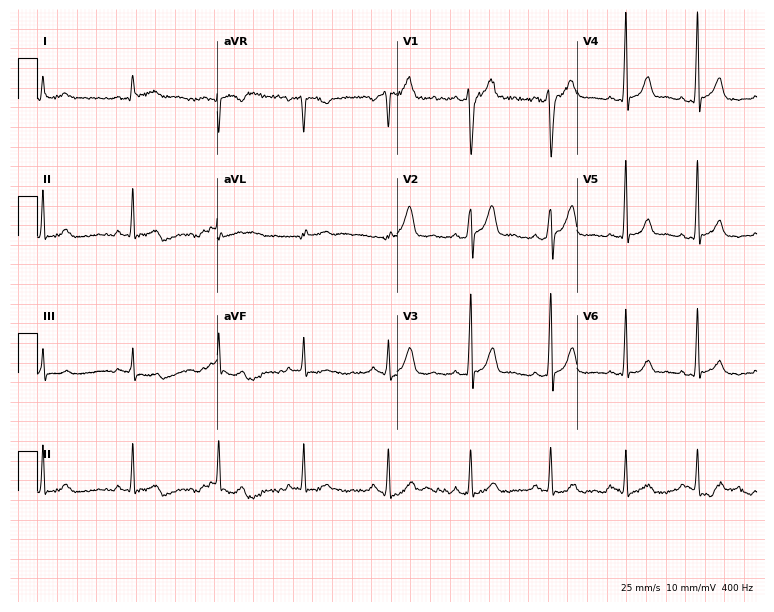
Resting 12-lead electrocardiogram (7.3-second recording at 400 Hz). Patient: a 46-year-old male. Read as a normal ECG.